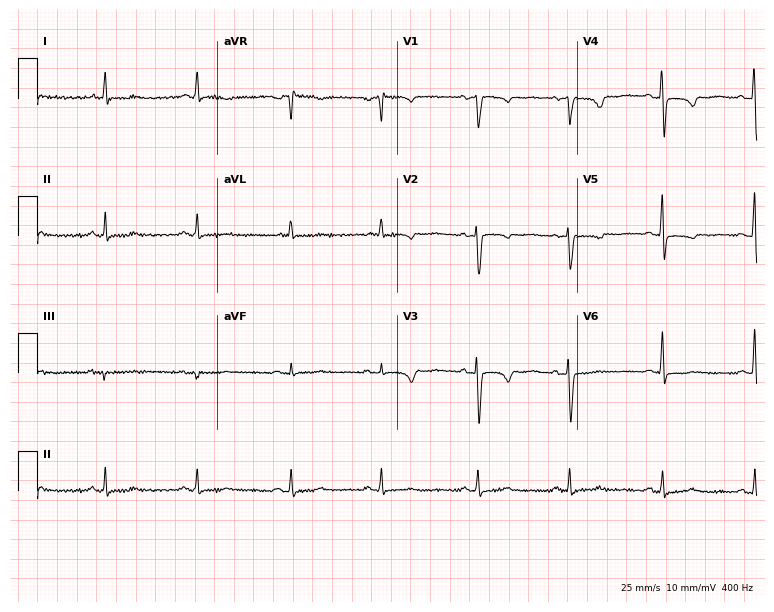
Electrocardiogram, a 76-year-old woman. Of the six screened findings (first-degree AV block, right bundle branch block, left bundle branch block, sinus bradycardia, atrial fibrillation, sinus tachycardia), none is recorded. Findings outside these six are not listed.